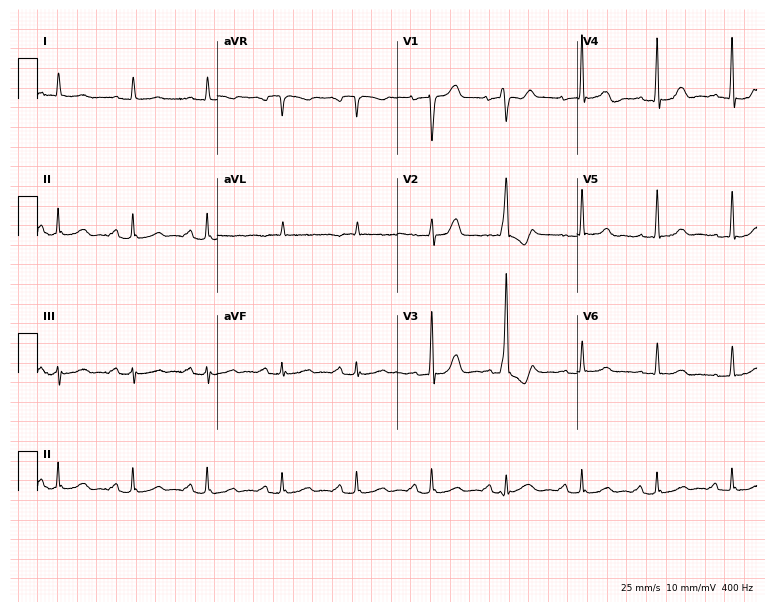
ECG — a male, 83 years old. Labelled as a normal ECG.